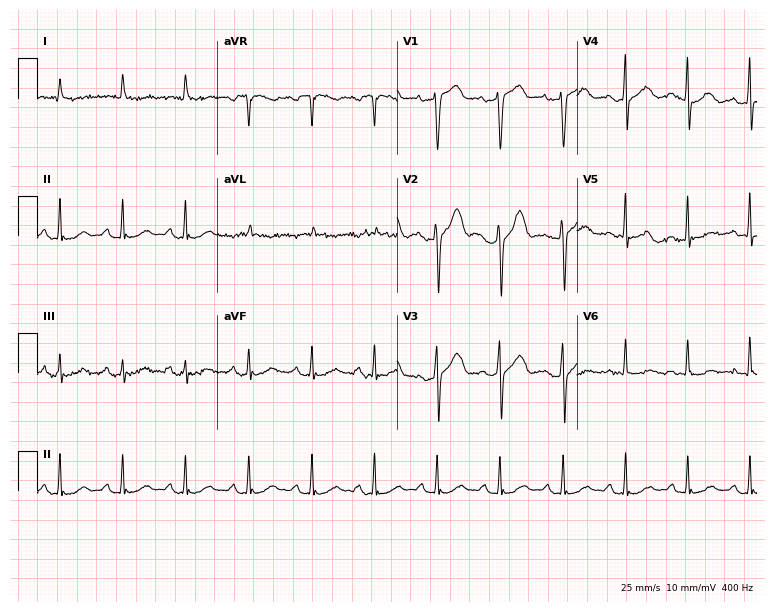
ECG (7.3-second recording at 400 Hz) — a male patient, 64 years old. Screened for six findings — first-degree AV block, right bundle branch block, left bundle branch block, sinus bradycardia, atrial fibrillation, sinus tachycardia — none is recorded. Other findings, if any, are not listed.